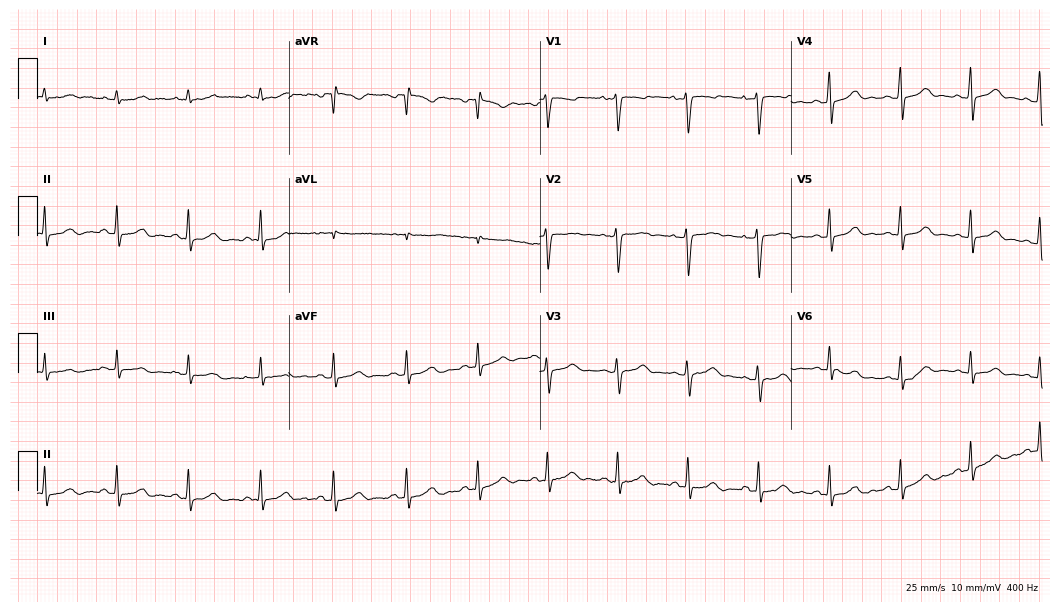
Standard 12-lead ECG recorded from a female patient, 41 years old. Read as a normal ECG.